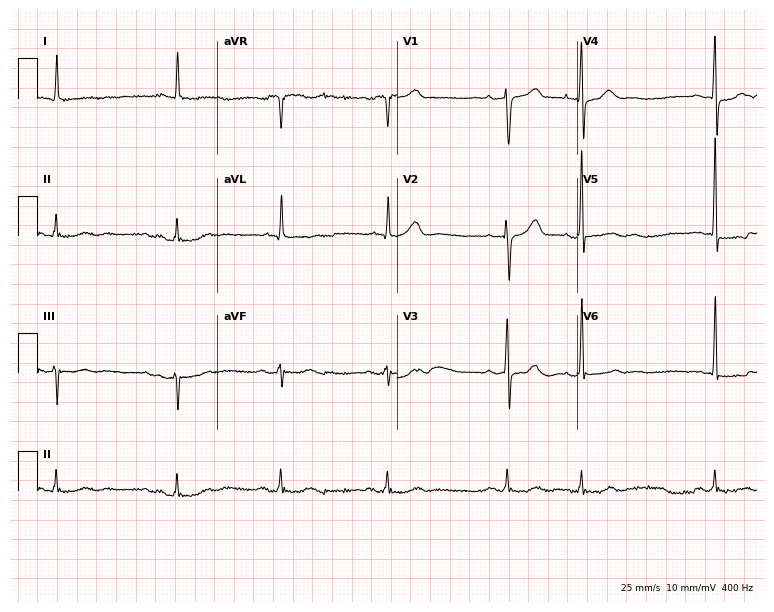
Resting 12-lead electrocardiogram (7.3-second recording at 400 Hz). Patient: an 82-year-old male. Read as a normal ECG.